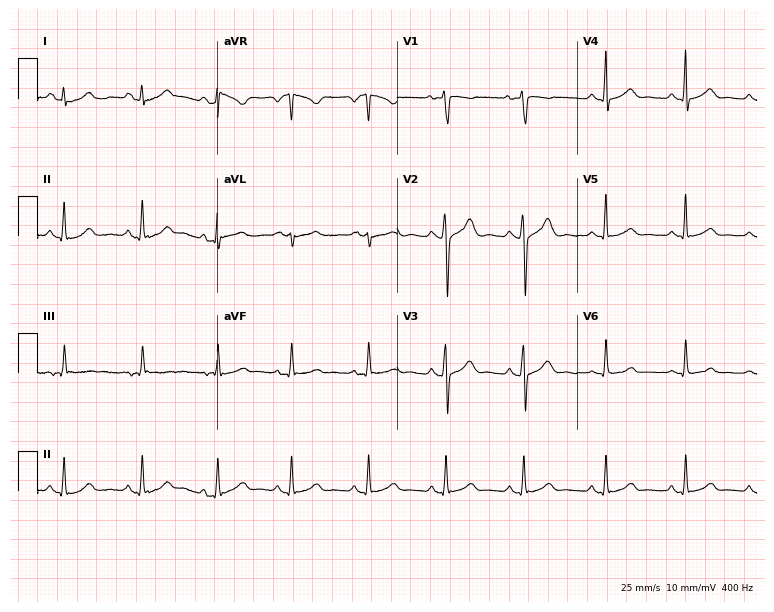
Electrocardiogram, a female patient, 30 years old. Overall reading on record: normal ECG.